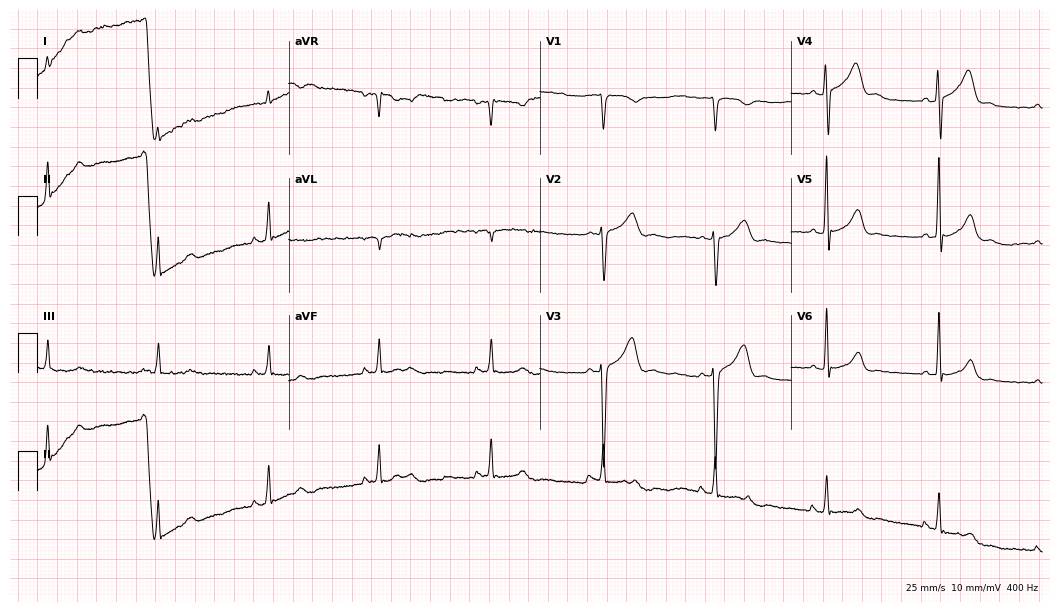
Resting 12-lead electrocardiogram (10.2-second recording at 400 Hz). Patient: a male, 43 years old. None of these six findings is recorded: first-degree AV block, right bundle branch block, left bundle branch block, sinus bradycardia, atrial fibrillation, sinus tachycardia.